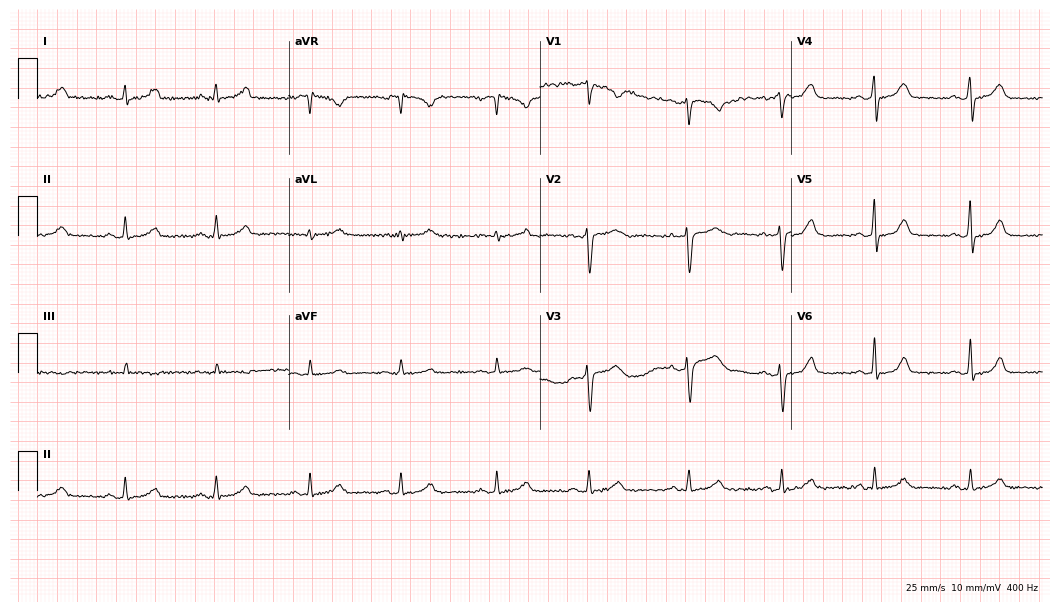
ECG — a 43-year-old female. Labelled as a normal ECG.